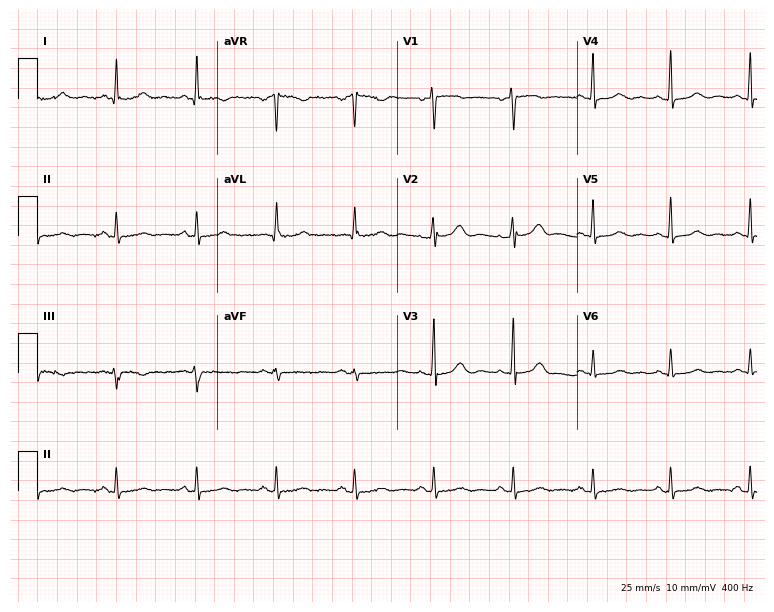
Resting 12-lead electrocardiogram. Patient: a 56-year-old female. Read as a normal ECG.